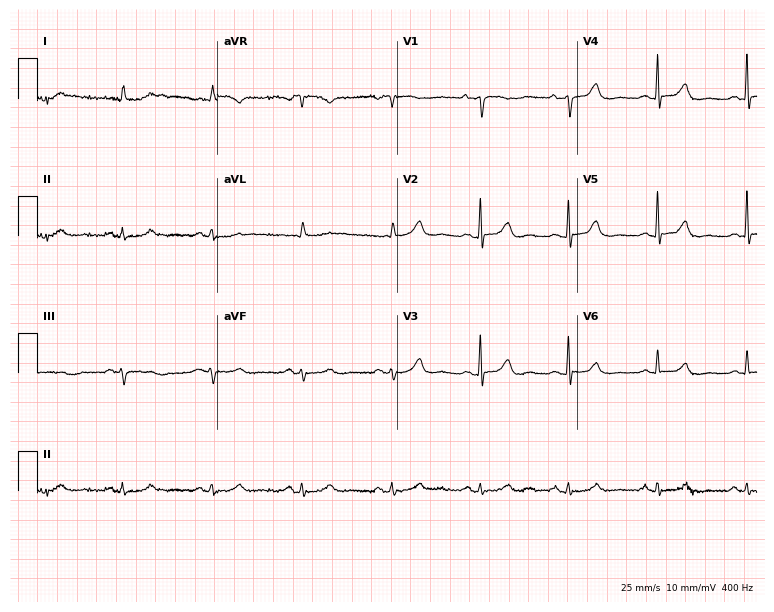
Electrocardiogram, a female, 84 years old. Of the six screened findings (first-degree AV block, right bundle branch block (RBBB), left bundle branch block (LBBB), sinus bradycardia, atrial fibrillation (AF), sinus tachycardia), none is recorded. Other findings, if any, are not listed.